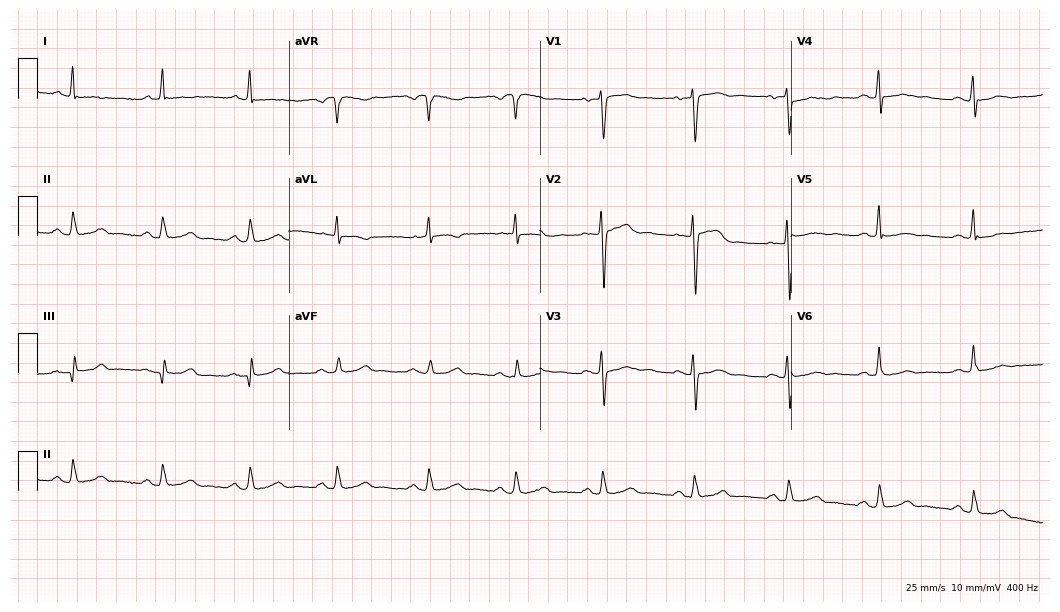
12-lead ECG from a 53-year-old male patient. No first-degree AV block, right bundle branch block, left bundle branch block, sinus bradycardia, atrial fibrillation or sinus tachycardia recorded for this tracing.